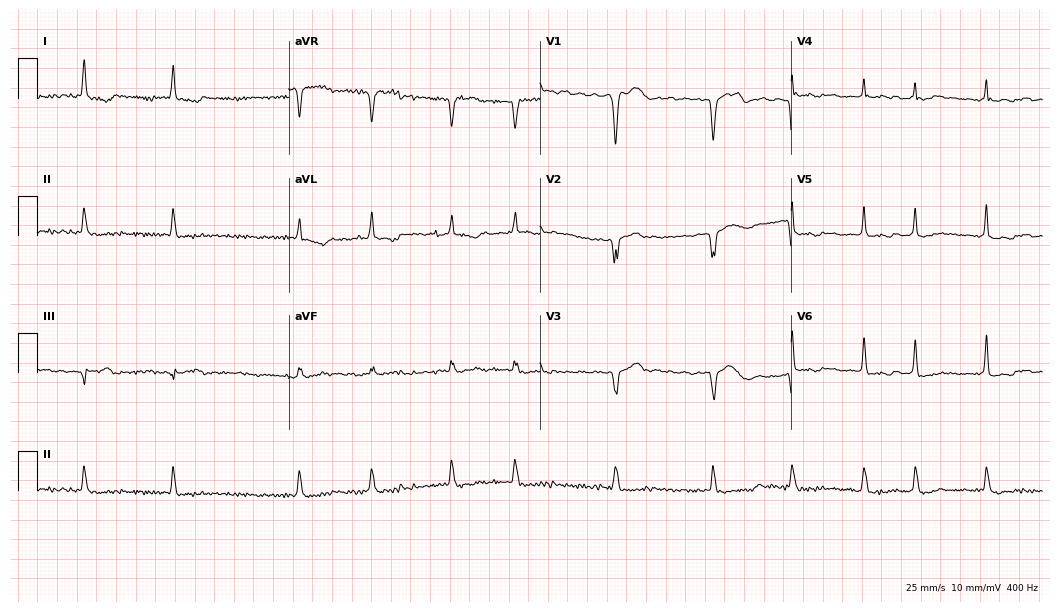
Standard 12-lead ECG recorded from a 71-year-old male (10.2-second recording at 400 Hz). The tracing shows atrial fibrillation.